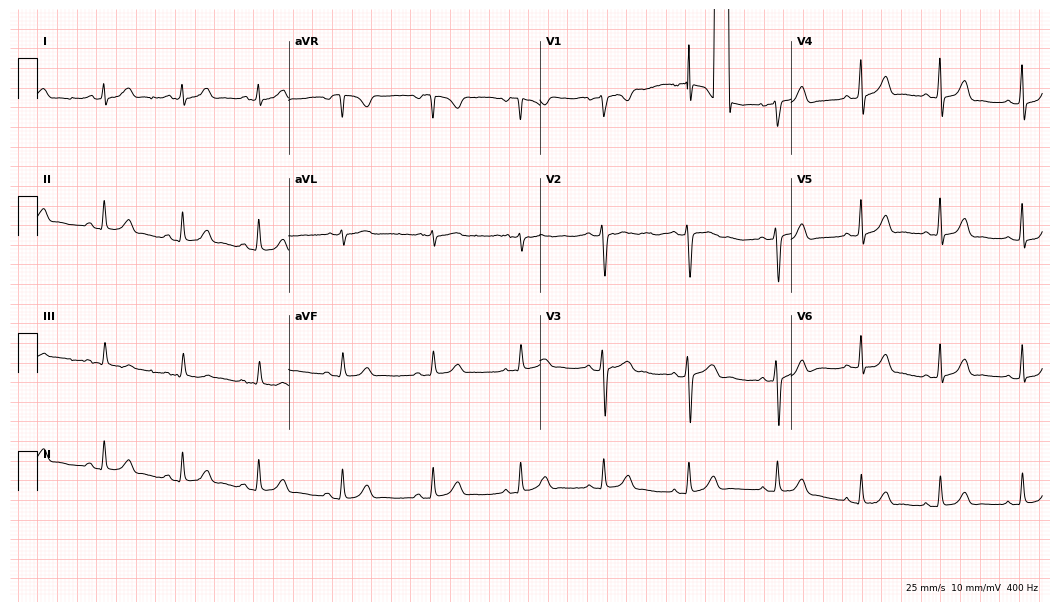
Electrocardiogram (10.2-second recording at 400 Hz), a woman, 21 years old. Overall reading on record: normal ECG.